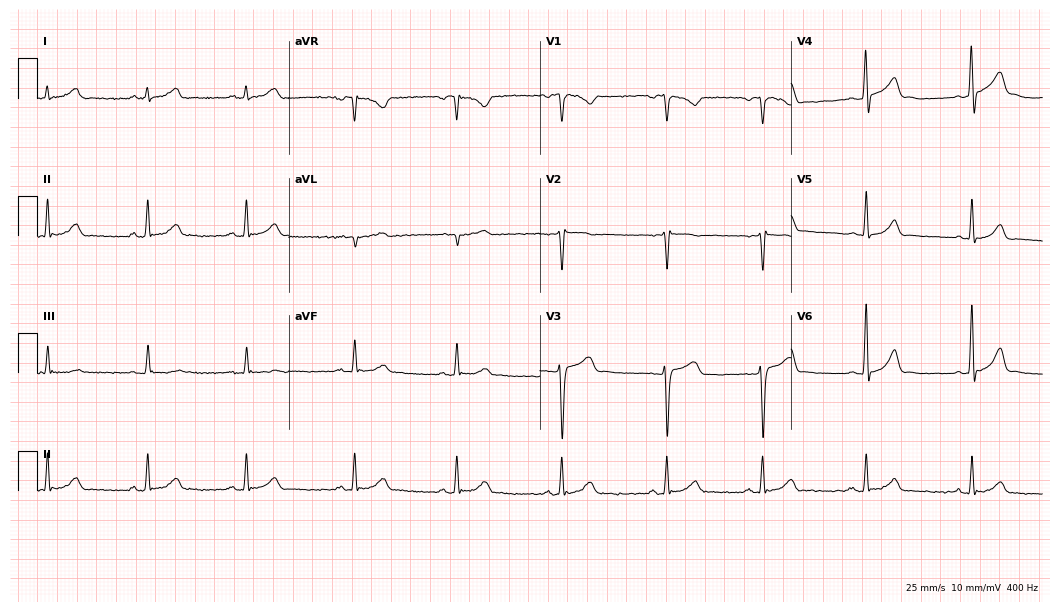
ECG (10.2-second recording at 400 Hz) — a 28-year-old male patient. Labelled as a normal ECG.